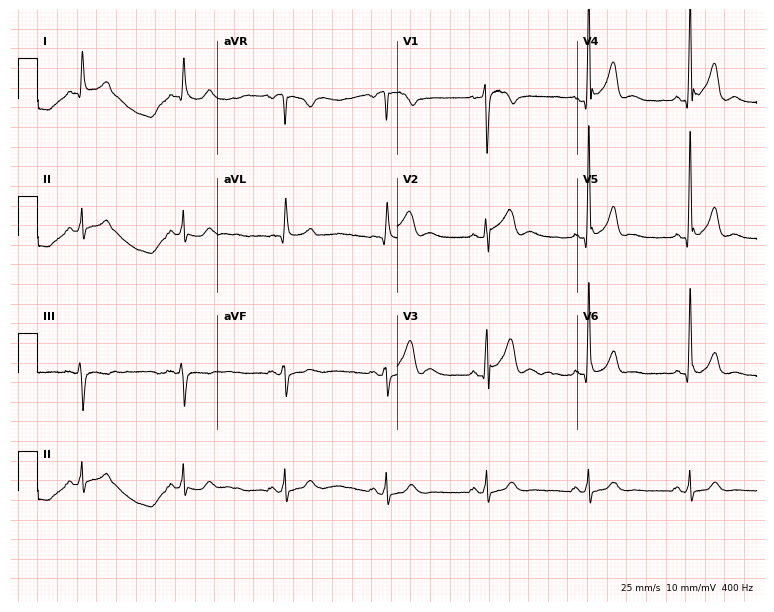
ECG — a male, 62 years old. Screened for six findings — first-degree AV block, right bundle branch block, left bundle branch block, sinus bradycardia, atrial fibrillation, sinus tachycardia — none is recorded.